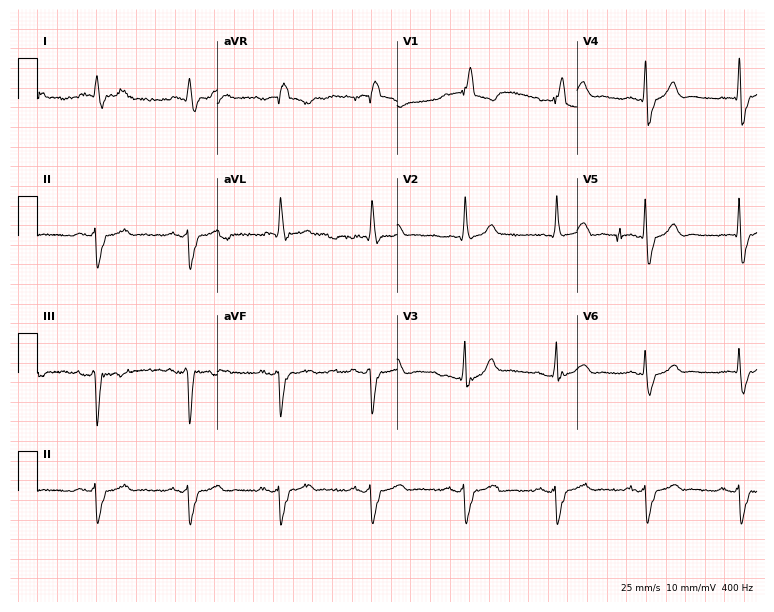
12-lead ECG from a 77-year-old male patient. Shows right bundle branch block.